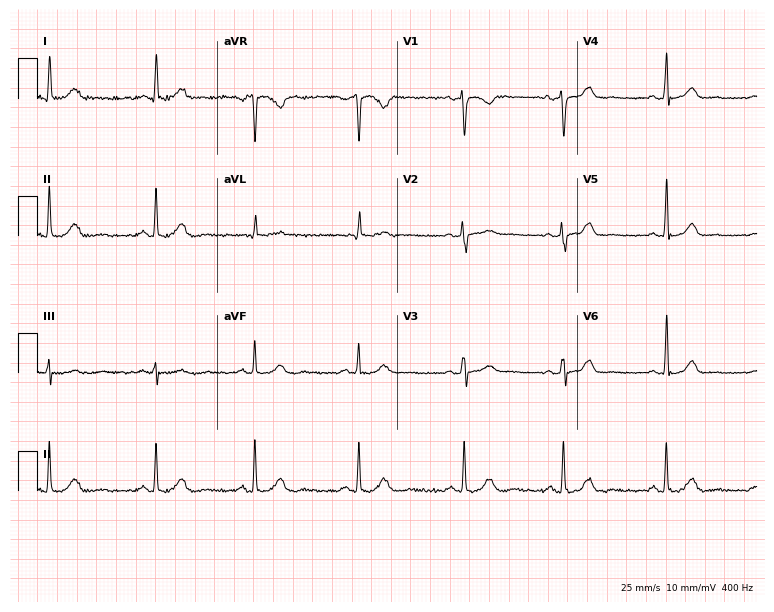
Standard 12-lead ECG recorded from a 33-year-old woman (7.3-second recording at 400 Hz). None of these six findings is recorded: first-degree AV block, right bundle branch block, left bundle branch block, sinus bradycardia, atrial fibrillation, sinus tachycardia.